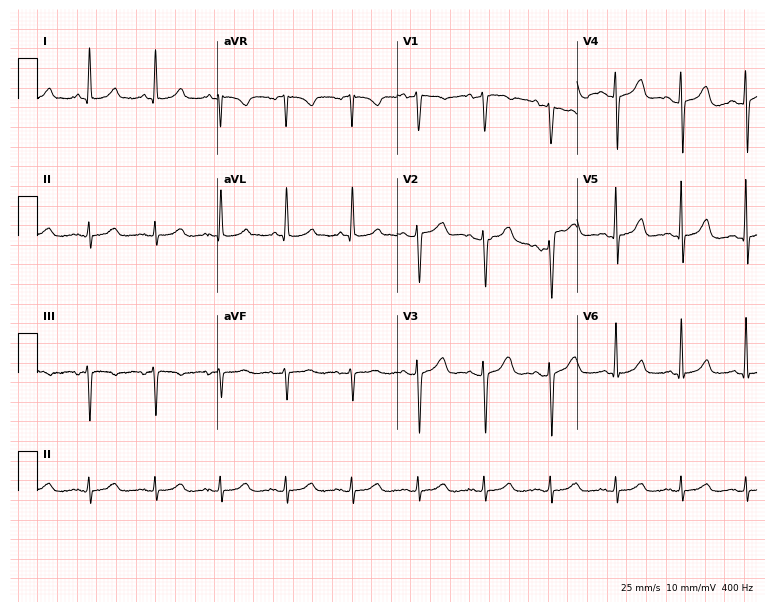
Resting 12-lead electrocardiogram (7.3-second recording at 400 Hz). Patient: a 66-year-old woman. Read as a normal ECG.